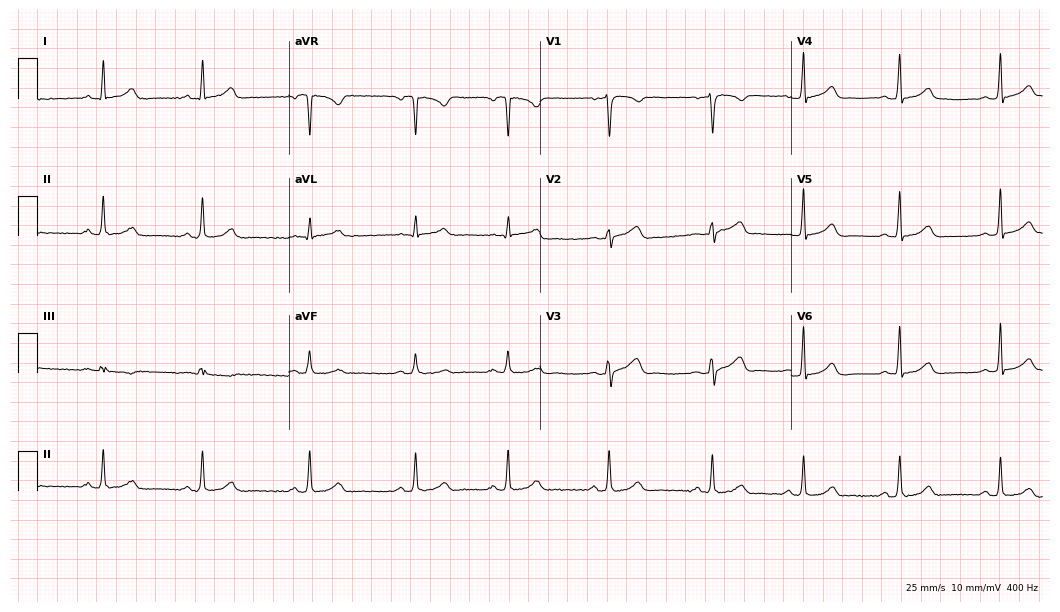
ECG — a female, 34 years old. Screened for six findings — first-degree AV block, right bundle branch block (RBBB), left bundle branch block (LBBB), sinus bradycardia, atrial fibrillation (AF), sinus tachycardia — none is recorded. Findings outside these six are not listed.